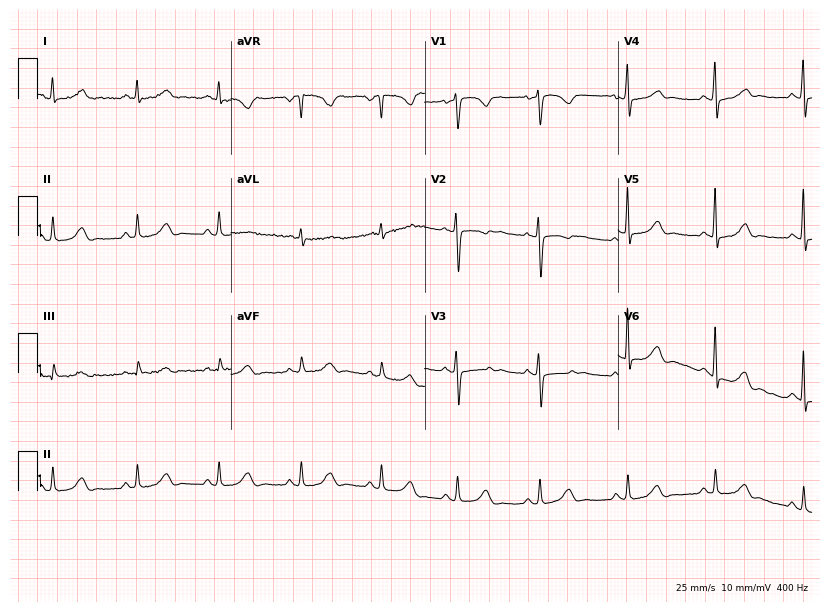
12-lead ECG from a 39-year-old female (7.9-second recording at 400 Hz). Recorded interpretation: within normal limits.